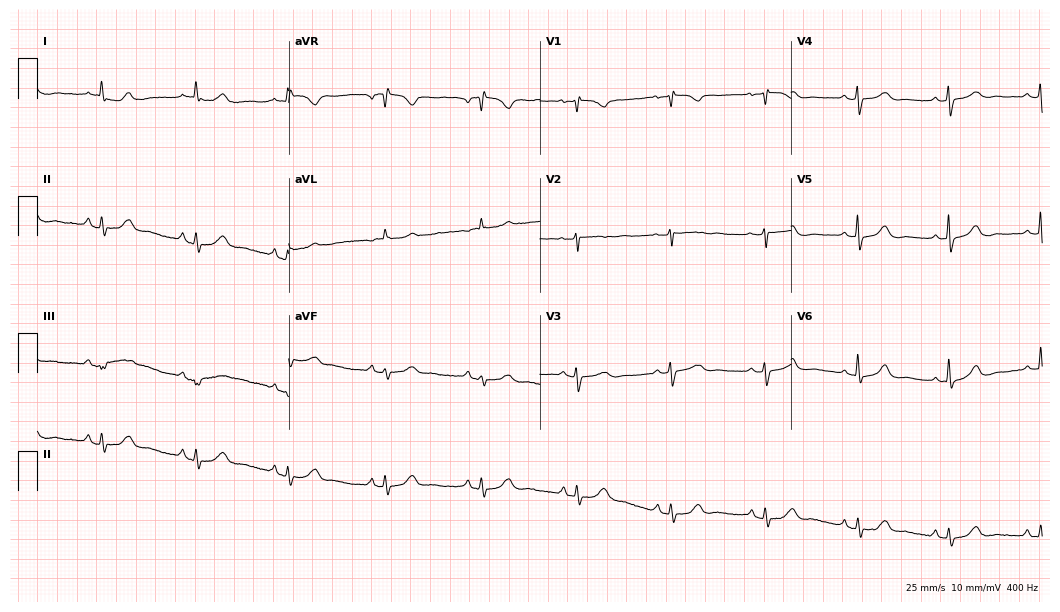
Standard 12-lead ECG recorded from a female, 73 years old (10.2-second recording at 400 Hz). Read as a normal ECG.